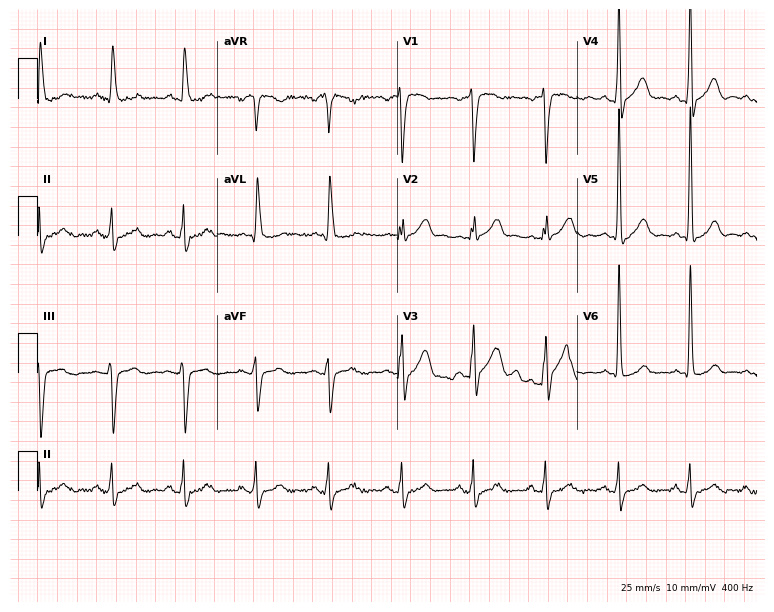
Standard 12-lead ECG recorded from an 81-year-old man. None of these six findings is recorded: first-degree AV block, right bundle branch block, left bundle branch block, sinus bradycardia, atrial fibrillation, sinus tachycardia.